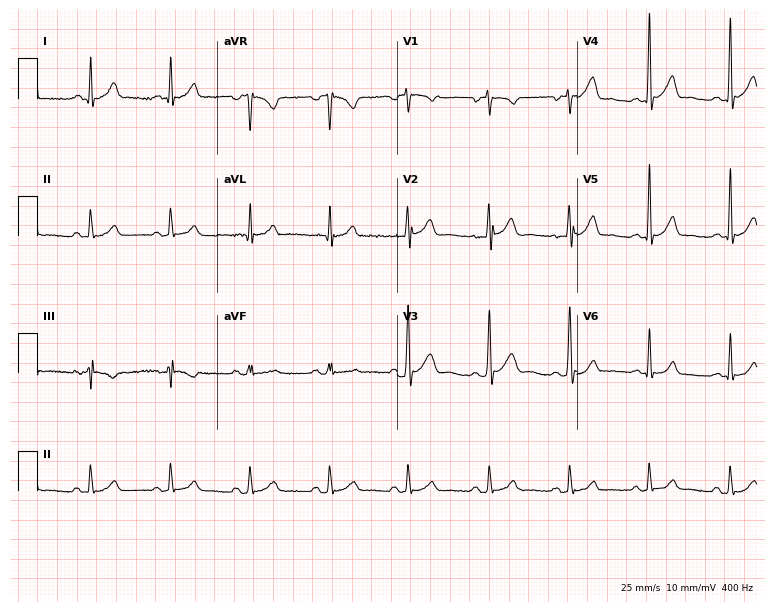
Standard 12-lead ECG recorded from a male, 50 years old (7.3-second recording at 400 Hz). Read as a normal ECG.